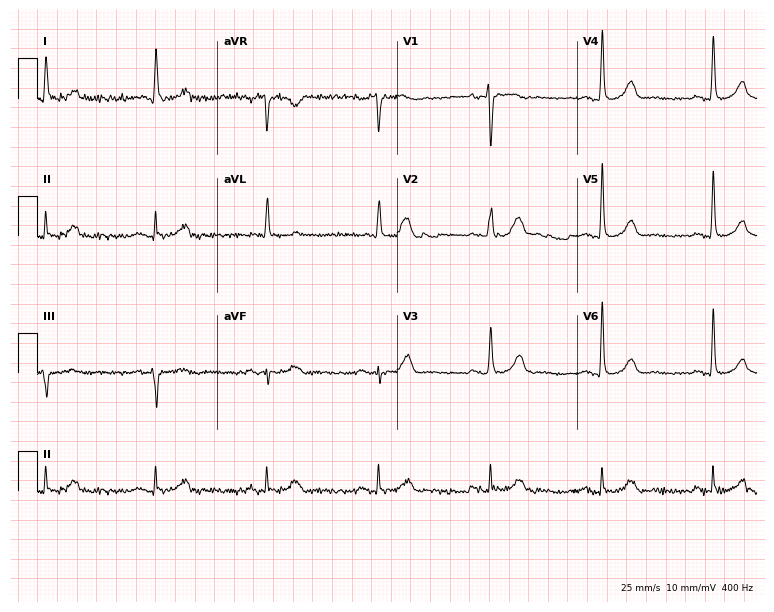
Electrocardiogram (7.3-second recording at 400 Hz), a 69-year-old woman. Overall reading on record: normal ECG.